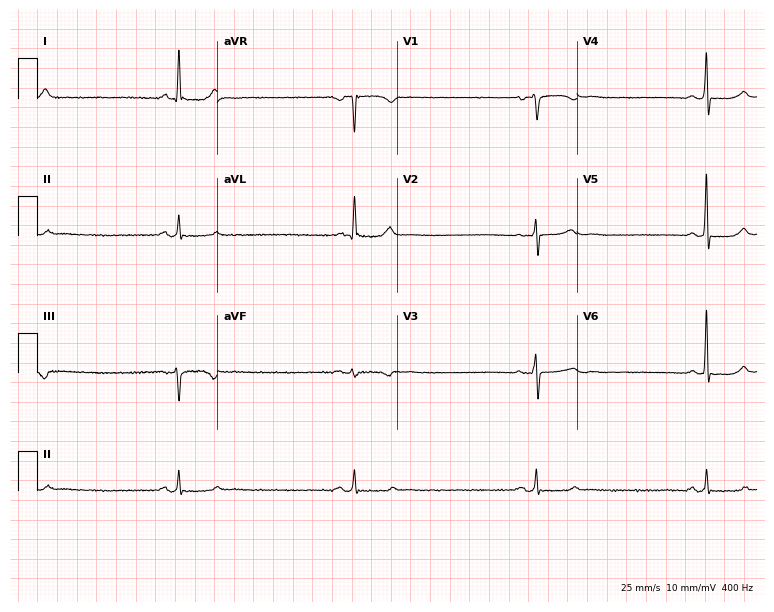
12-lead ECG from a female patient, 58 years old. Shows sinus bradycardia (a sinus rate of 50 beats per minute or less).